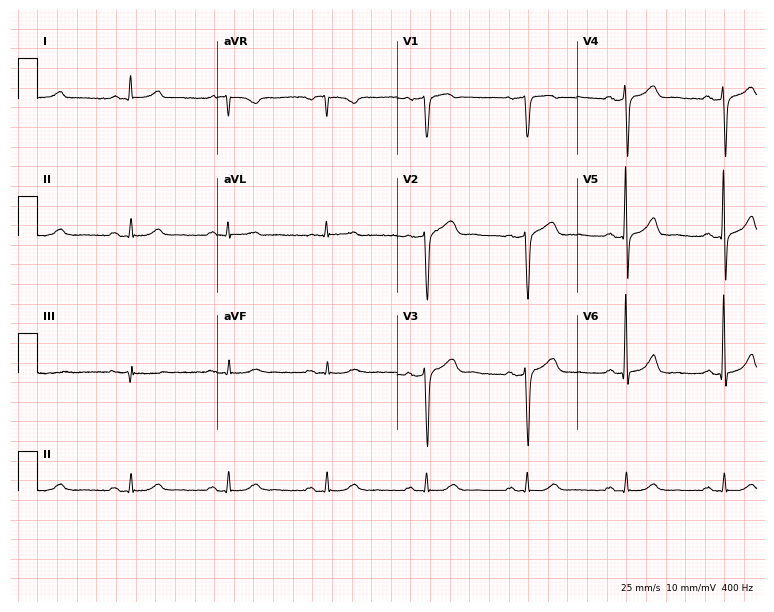
ECG — a male, 70 years old. Labelled as a normal ECG.